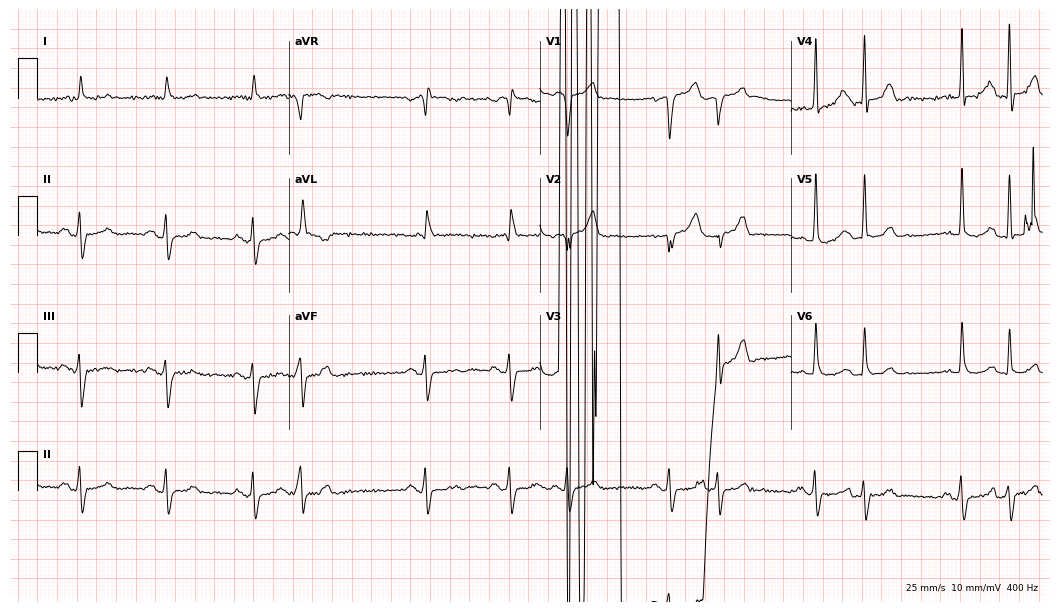
12-lead ECG from a 79-year-old man. No first-degree AV block, right bundle branch block (RBBB), left bundle branch block (LBBB), sinus bradycardia, atrial fibrillation (AF) or sinus tachycardia recorded for this tracing. Only these six findings were labelled.